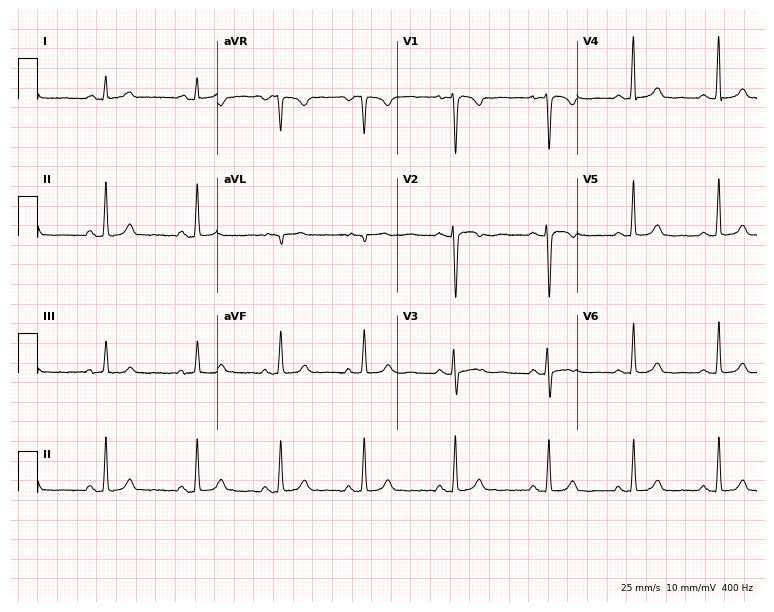
Resting 12-lead electrocardiogram (7.3-second recording at 400 Hz). Patient: a female, 26 years old. None of these six findings is recorded: first-degree AV block, right bundle branch block, left bundle branch block, sinus bradycardia, atrial fibrillation, sinus tachycardia. Findings outside these six are not listed.